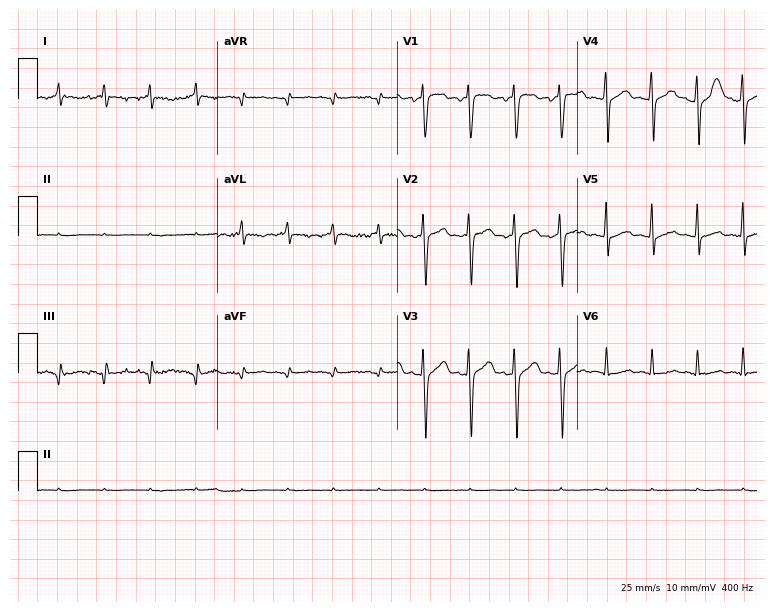
Resting 12-lead electrocardiogram (7.3-second recording at 400 Hz). Patient: a man, 74 years old. None of these six findings is recorded: first-degree AV block, right bundle branch block, left bundle branch block, sinus bradycardia, atrial fibrillation, sinus tachycardia.